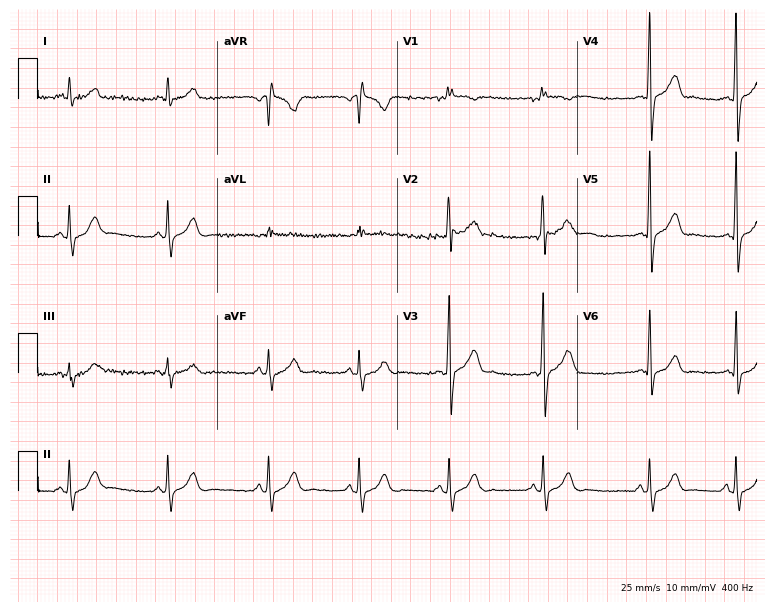
Standard 12-lead ECG recorded from a 22-year-old male patient (7.3-second recording at 400 Hz). Read as a normal ECG.